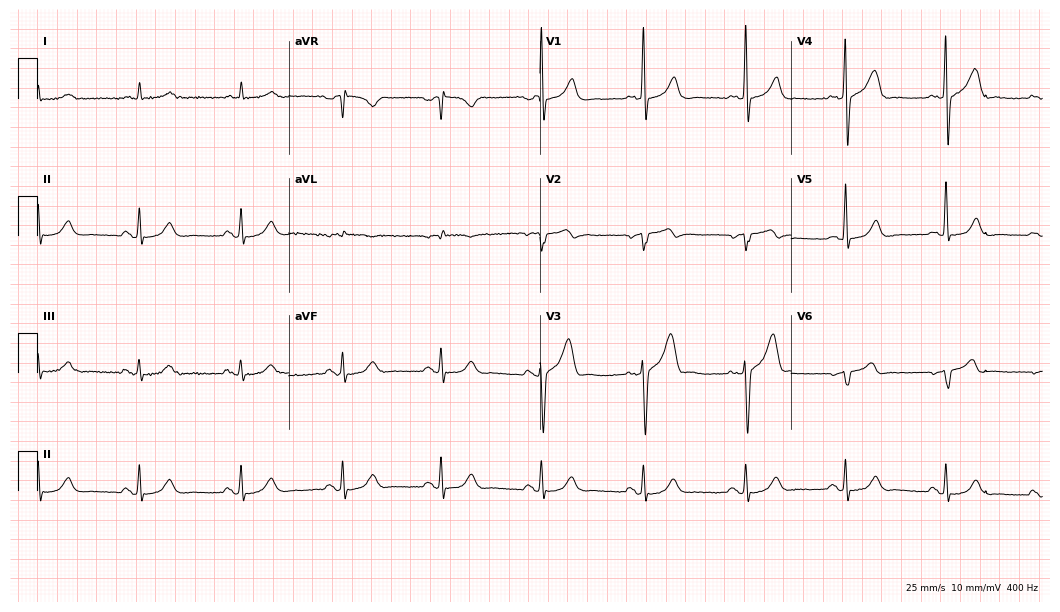
Standard 12-lead ECG recorded from a 60-year-old male (10.2-second recording at 400 Hz). None of these six findings is recorded: first-degree AV block, right bundle branch block (RBBB), left bundle branch block (LBBB), sinus bradycardia, atrial fibrillation (AF), sinus tachycardia. Findings outside these six are not listed.